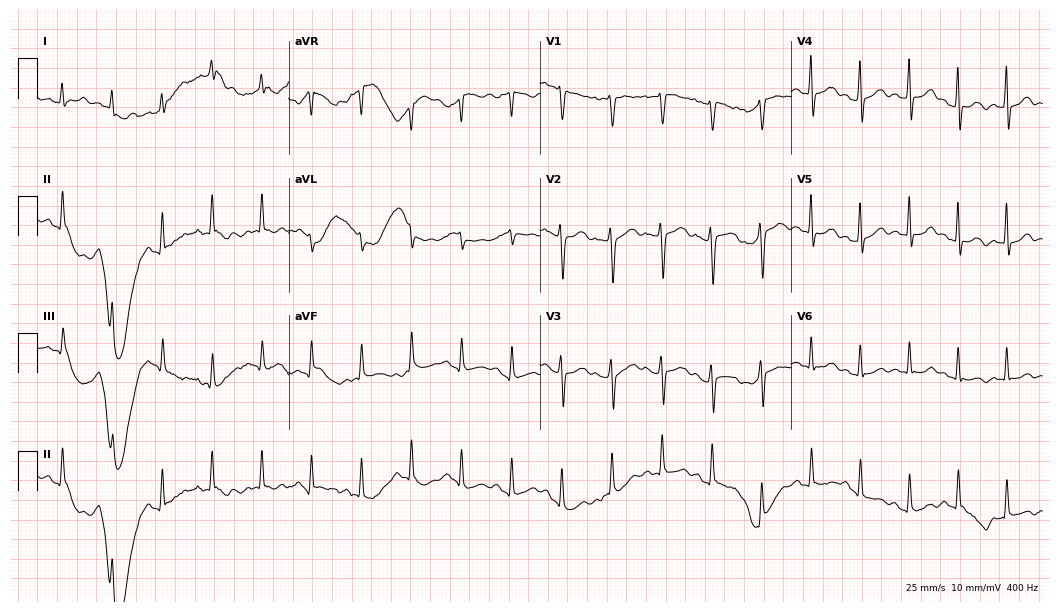
Resting 12-lead electrocardiogram. Patient: a 22-year-old female. None of these six findings is recorded: first-degree AV block, right bundle branch block, left bundle branch block, sinus bradycardia, atrial fibrillation, sinus tachycardia. Only these six findings were labelled.